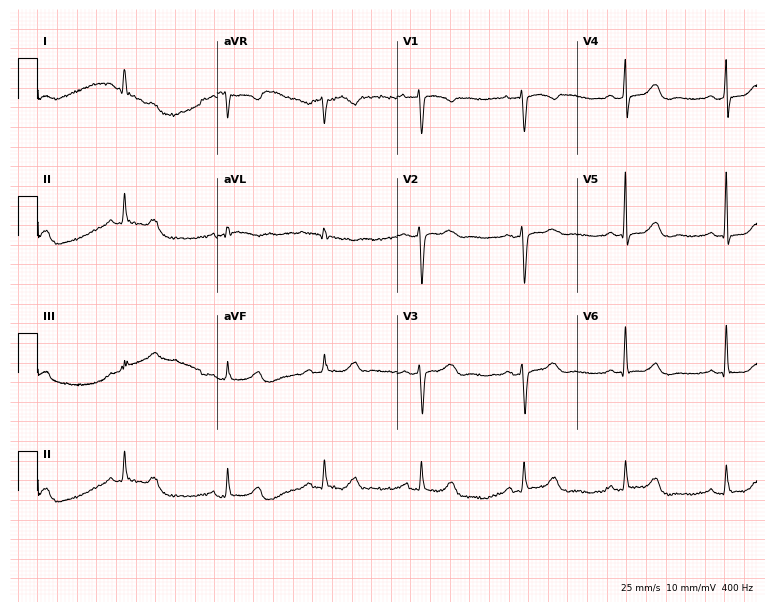
ECG (7.3-second recording at 400 Hz) — a 50-year-old female. Labelled as a normal ECG.